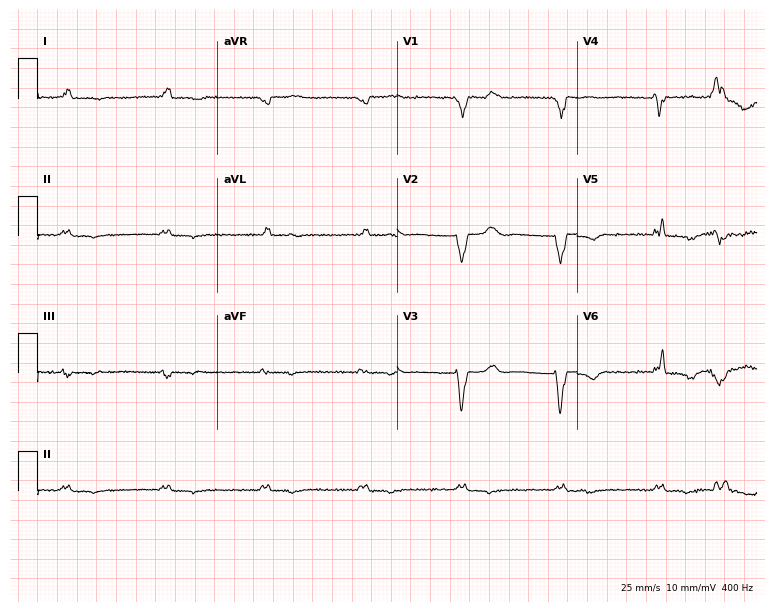
12-lead ECG from a 67-year-old man. No first-degree AV block, right bundle branch block, left bundle branch block, sinus bradycardia, atrial fibrillation or sinus tachycardia recorded for this tracing.